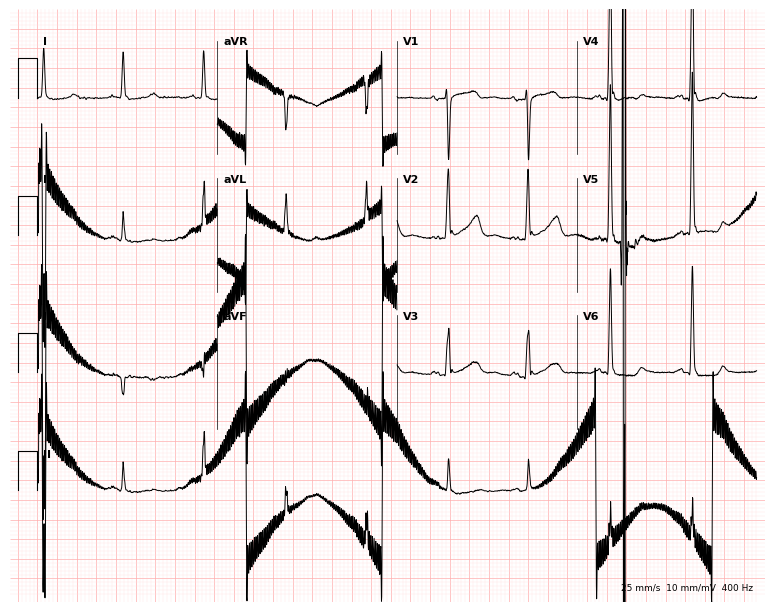
Electrocardiogram, an 84-year-old female patient. Of the six screened findings (first-degree AV block, right bundle branch block, left bundle branch block, sinus bradycardia, atrial fibrillation, sinus tachycardia), none is recorded.